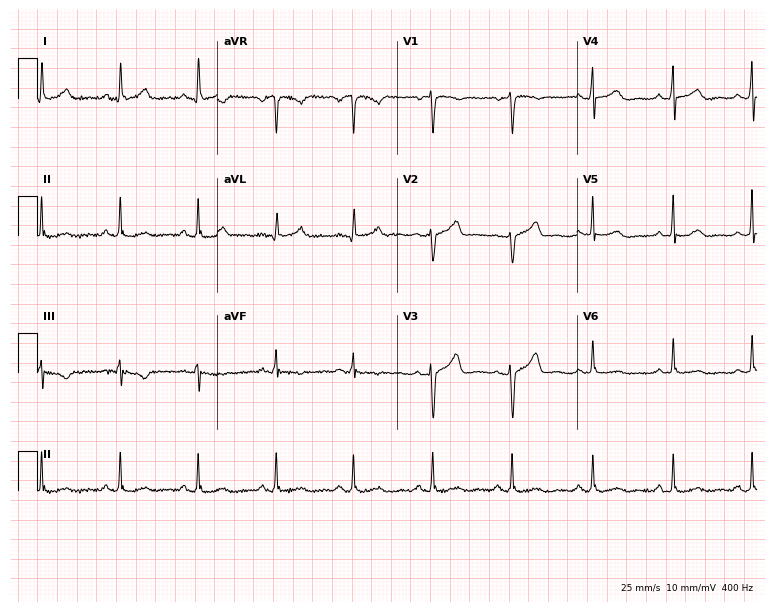
12-lead ECG (7.3-second recording at 400 Hz) from a 43-year-old female. Screened for six findings — first-degree AV block, right bundle branch block, left bundle branch block, sinus bradycardia, atrial fibrillation, sinus tachycardia — none is recorded.